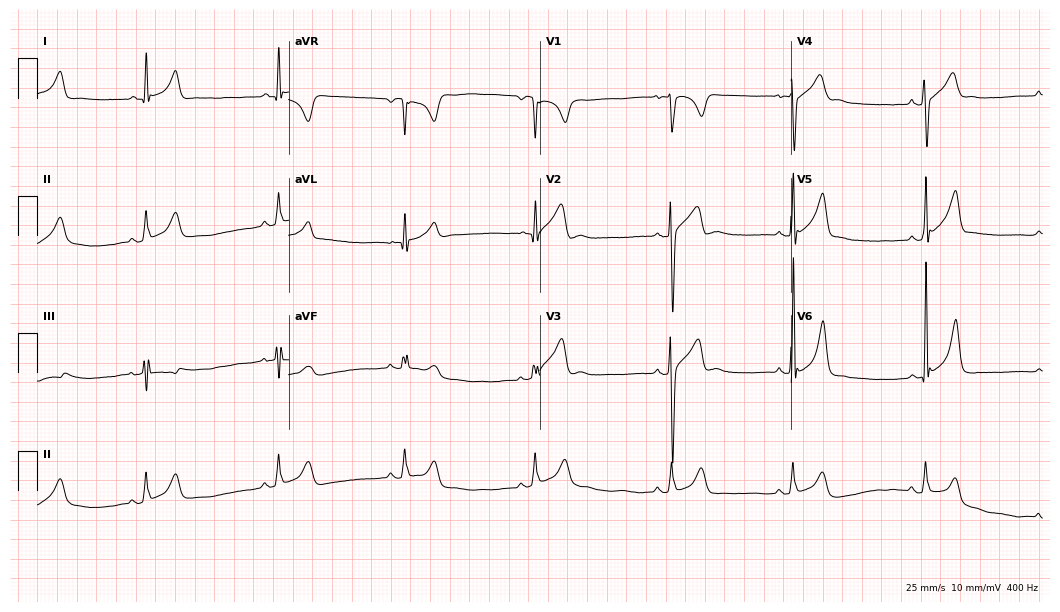
Resting 12-lead electrocardiogram. Patient: a man, 32 years old. None of these six findings is recorded: first-degree AV block, right bundle branch block, left bundle branch block, sinus bradycardia, atrial fibrillation, sinus tachycardia.